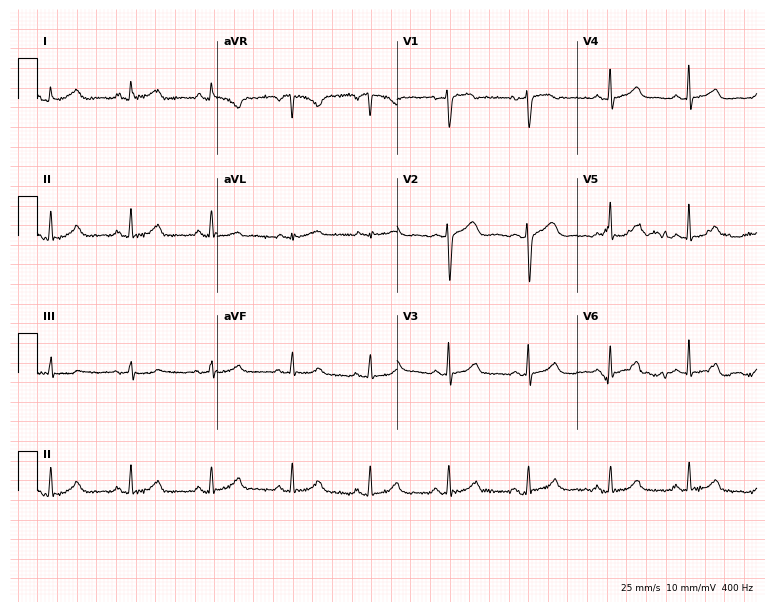
Electrocardiogram (7.3-second recording at 400 Hz), a female patient, 45 years old. Overall reading on record: normal ECG.